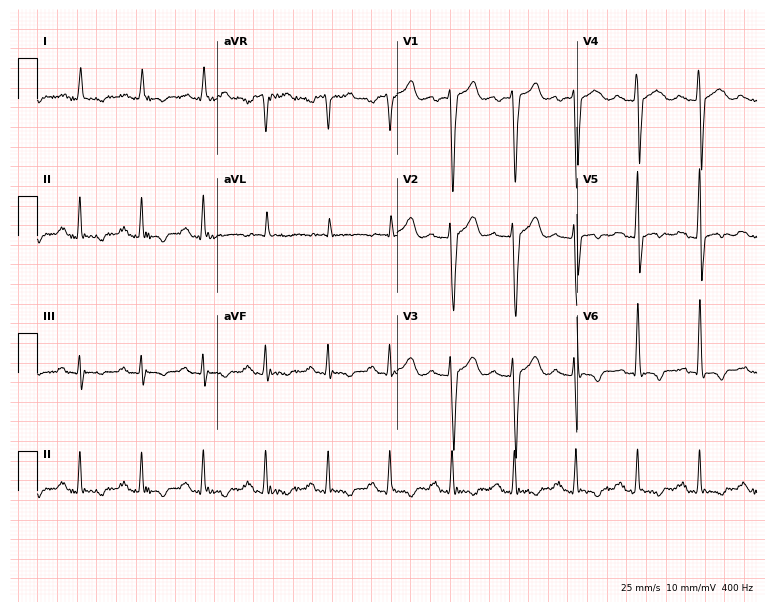
12-lead ECG from a 74-year-old male (7.3-second recording at 400 Hz). No first-degree AV block, right bundle branch block (RBBB), left bundle branch block (LBBB), sinus bradycardia, atrial fibrillation (AF) or sinus tachycardia recorded for this tracing. Only these six findings were labelled.